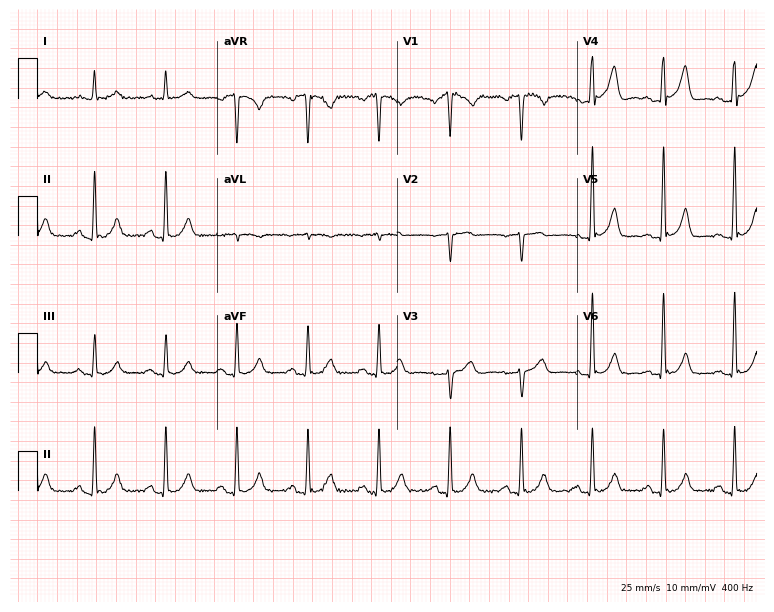
Resting 12-lead electrocardiogram (7.3-second recording at 400 Hz). Patient: a 59-year-old male. Read as a normal ECG.